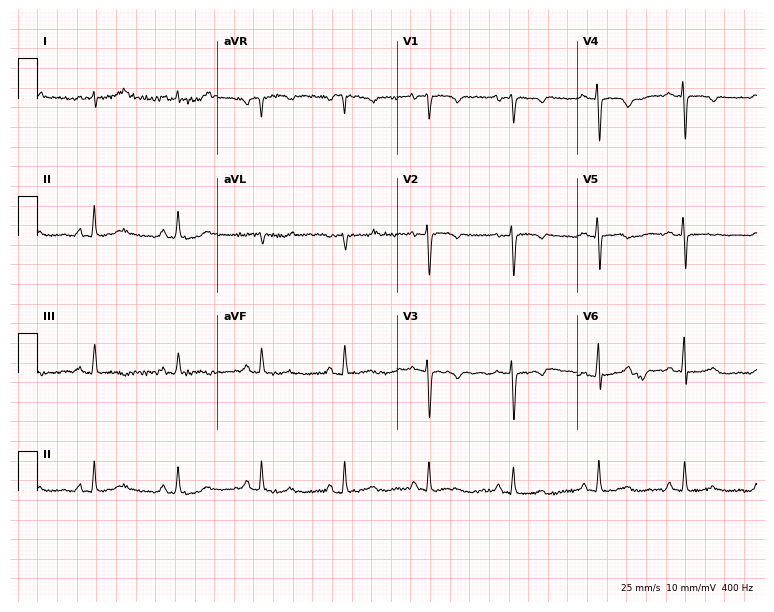
Resting 12-lead electrocardiogram. Patient: a female, 74 years old. None of these six findings is recorded: first-degree AV block, right bundle branch block, left bundle branch block, sinus bradycardia, atrial fibrillation, sinus tachycardia. Findings outside these six are not listed.